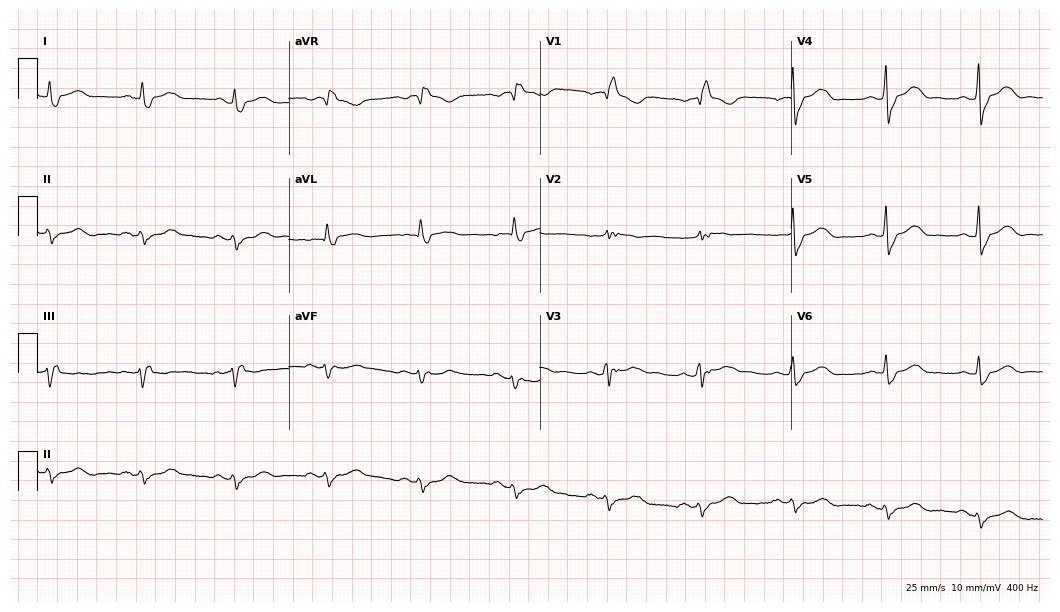
Resting 12-lead electrocardiogram. Patient: a 69-year-old female. None of these six findings is recorded: first-degree AV block, right bundle branch block, left bundle branch block, sinus bradycardia, atrial fibrillation, sinus tachycardia.